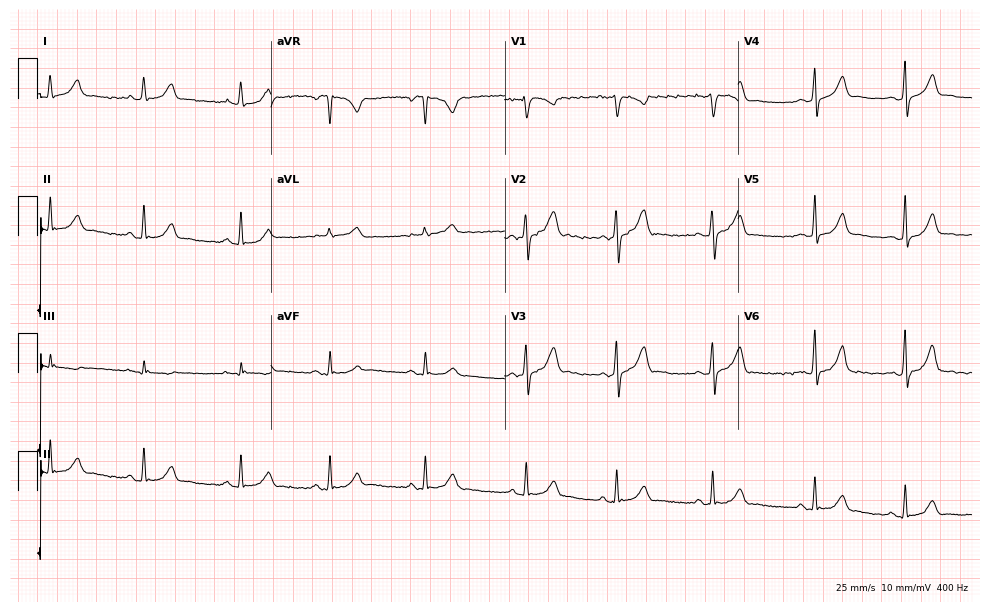
12-lead ECG from a woman, 18 years old (9.5-second recording at 400 Hz). No first-degree AV block, right bundle branch block, left bundle branch block, sinus bradycardia, atrial fibrillation or sinus tachycardia recorded for this tracing.